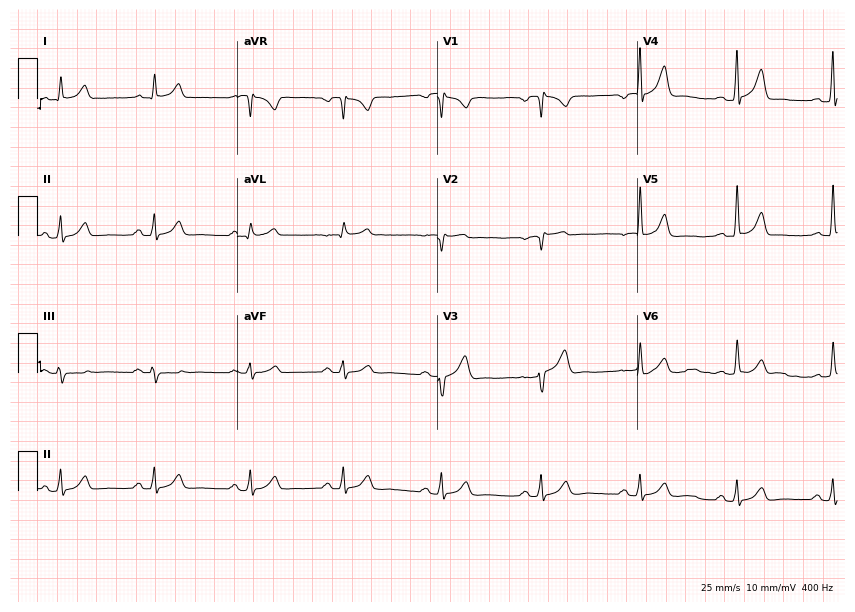
12-lead ECG (8.2-second recording at 400 Hz) from a male patient, 42 years old. Screened for six findings — first-degree AV block, right bundle branch block (RBBB), left bundle branch block (LBBB), sinus bradycardia, atrial fibrillation (AF), sinus tachycardia — none is recorded. Only these six findings were labelled.